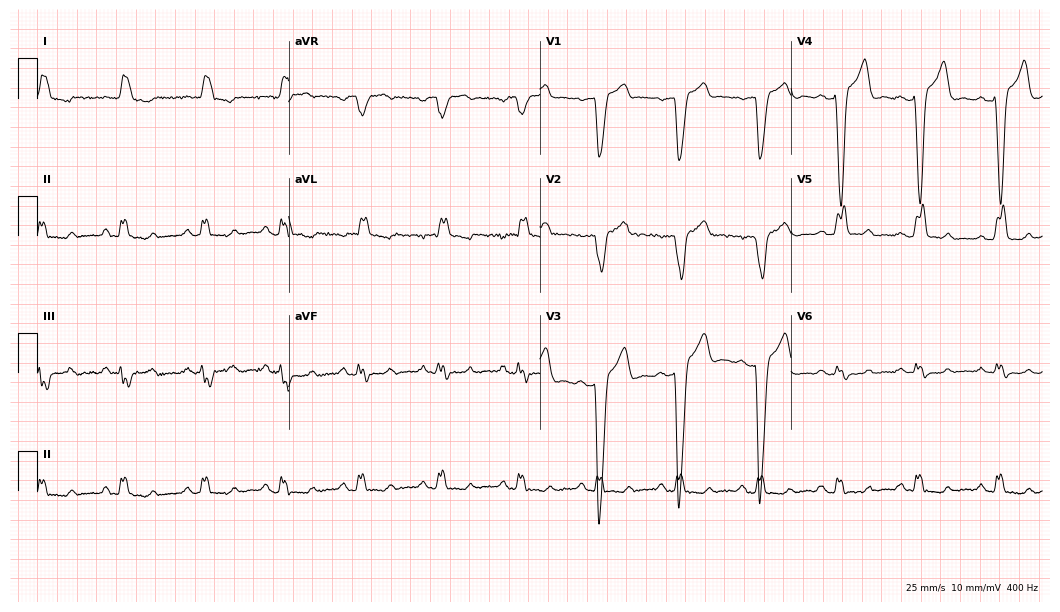
ECG — a male, 42 years old. Findings include left bundle branch block.